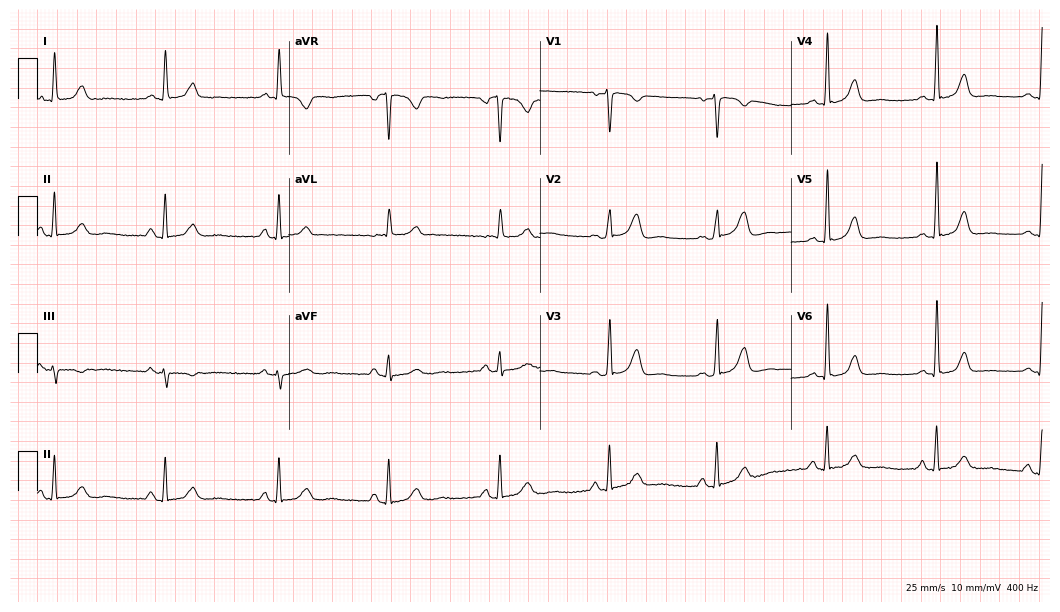
Resting 12-lead electrocardiogram. Patient: a 50-year-old female. Read as a normal ECG.